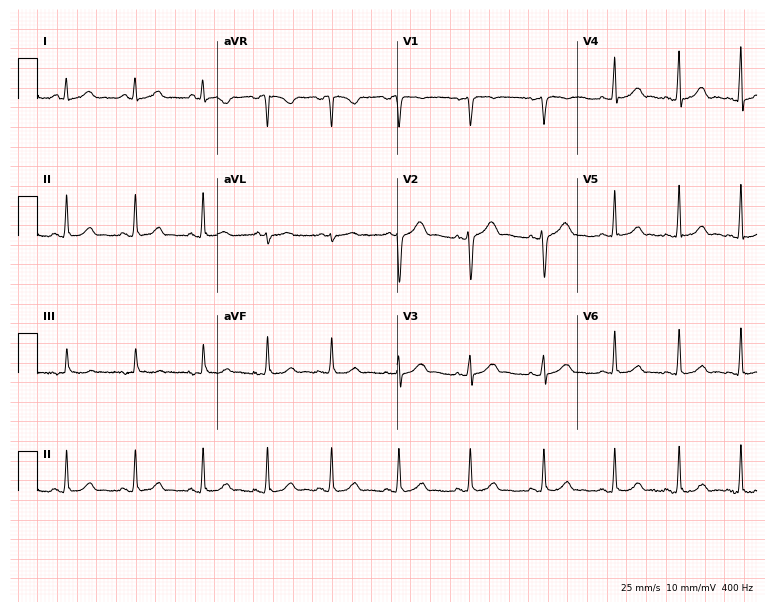
ECG — a 23-year-old female. Labelled as a normal ECG.